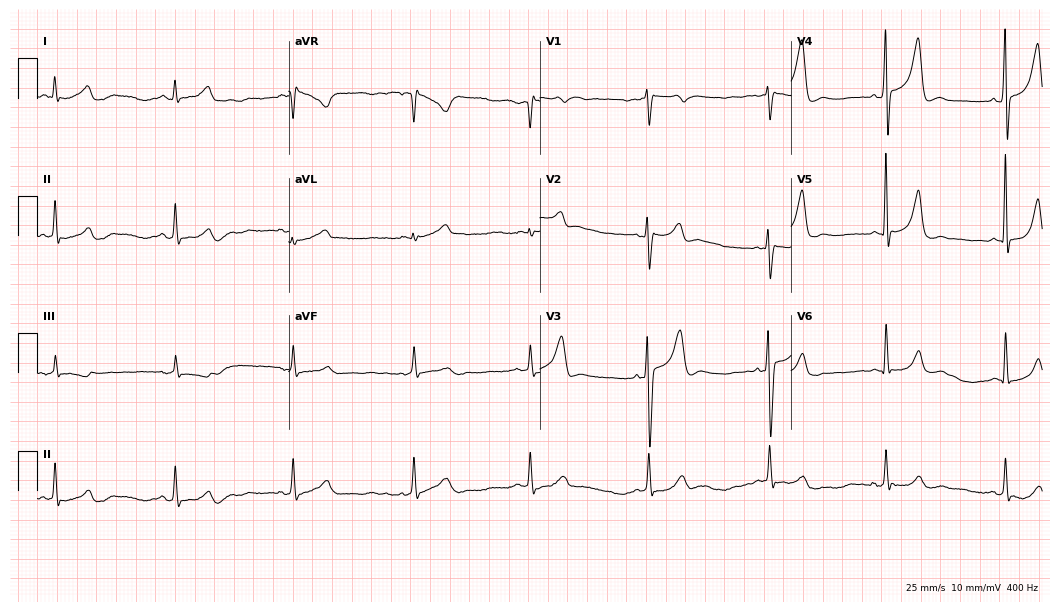
Resting 12-lead electrocardiogram. Patient: a man, 43 years old. The tracing shows sinus bradycardia (a sinus rate of 50 beats per minute or less).